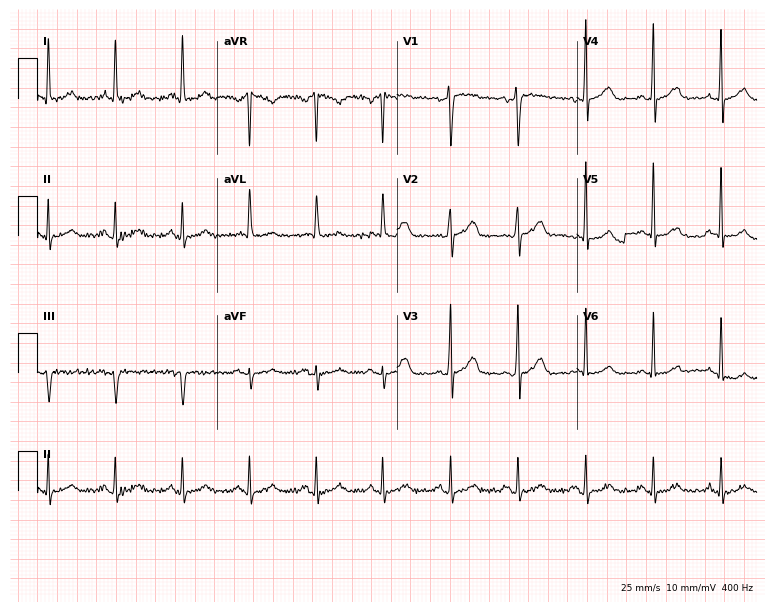
12-lead ECG from a male, 51 years old. Labelled as a normal ECG.